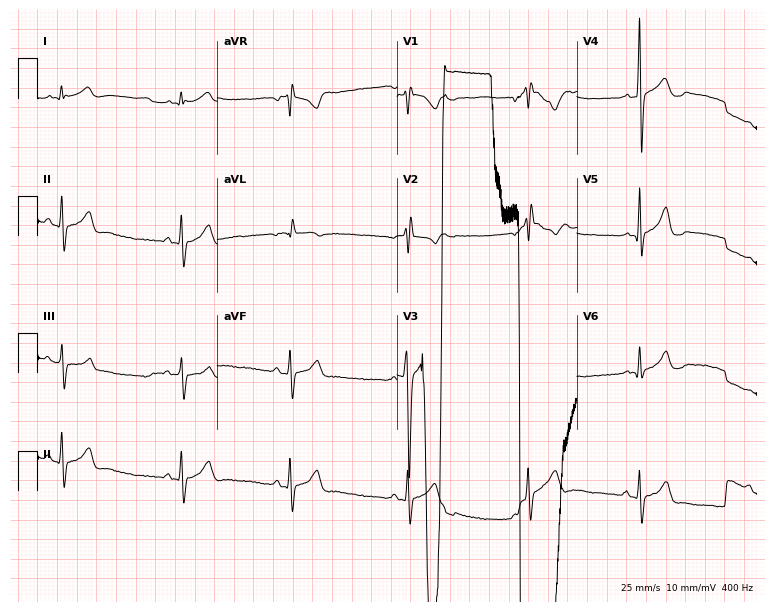
12-lead ECG from a male patient, 21 years old. Screened for six findings — first-degree AV block, right bundle branch block (RBBB), left bundle branch block (LBBB), sinus bradycardia, atrial fibrillation (AF), sinus tachycardia — none is recorded.